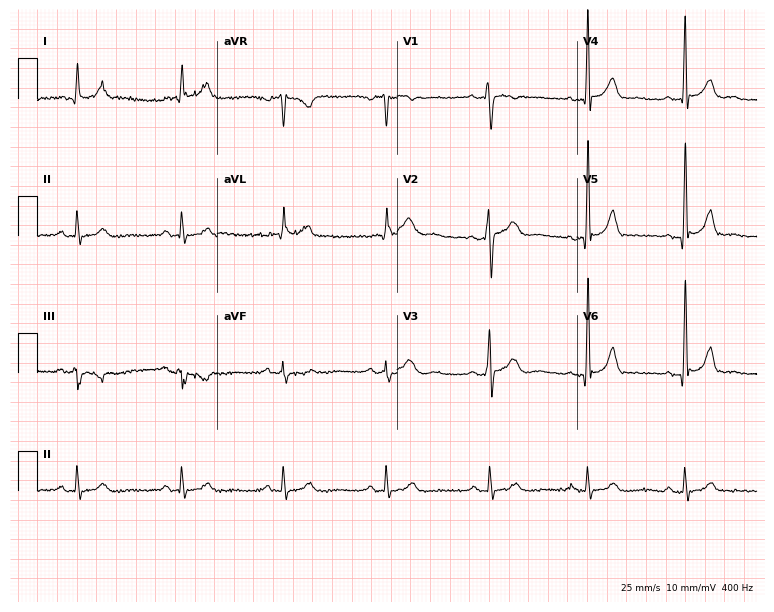
12-lead ECG from a man, 40 years old (7.3-second recording at 400 Hz). No first-degree AV block, right bundle branch block, left bundle branch block, sinus bradycardia, atrial fibrillation or sinus tachycardia recorded for this tracing. Other findings, if any, are not listed.